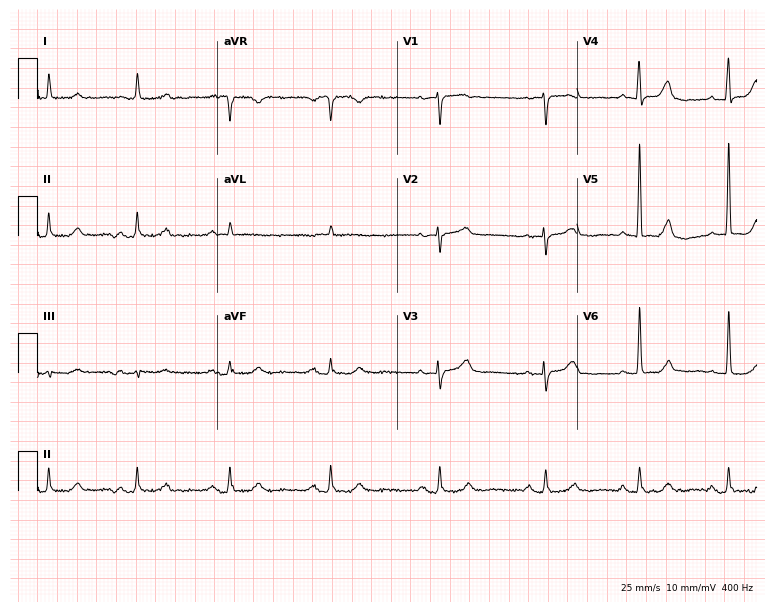
ECG — an 82-year-old female patient. Screened for six findings — first-degree AV block, right bundle branch block, left bundle branch block, sinus bradycardia, atrial fibrillation, sinus tachycardia — none is recorded.